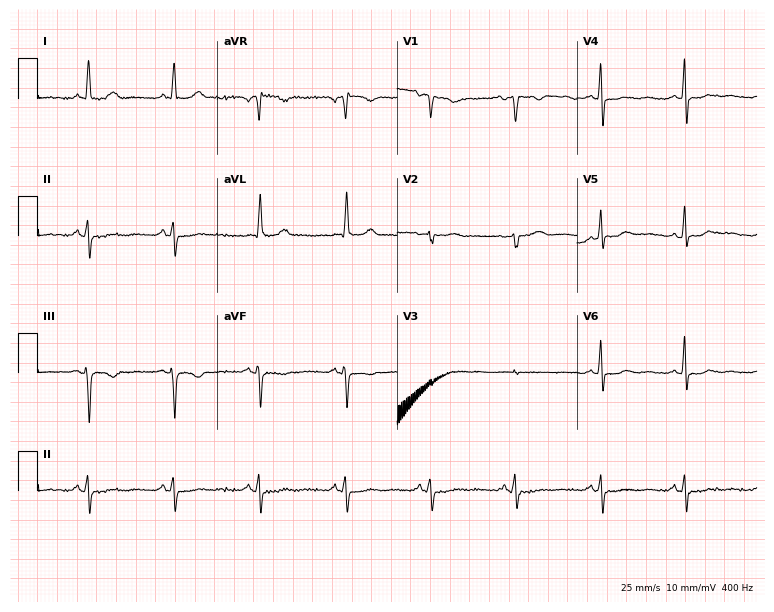
Electrocardiogram (7.3-second recording at 400 Hz), a 62-year-old woman. Of the six screened findings (first-degree AV block, right bundle branch block (RBBB), left bundle branch block (LBBB), sinus bradycardia, atrial fibrillation (AF), sinus tachycardia), none is recorded. Other findings, if any, are not listed.